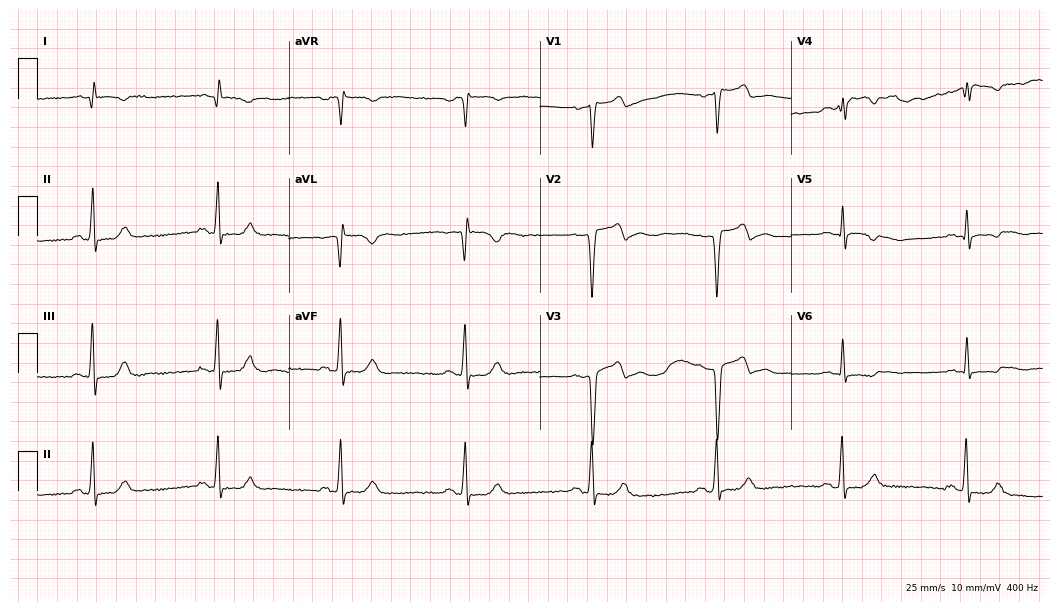
12-lead ECG from a 75-year-old male patient. Shows sinus bradycardia (a sinus rate of 50 beats per minute or less).